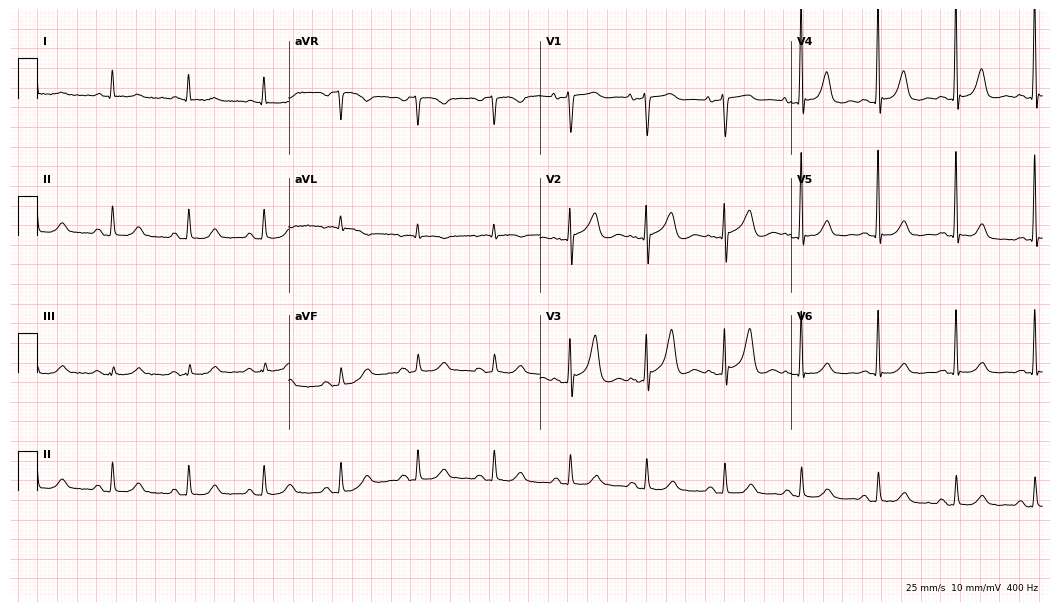
Resting 12-lead electrocardiogram (10.2-second recording at 400 Hz). Patient: a female, 84 years old. Read as a normal ECG.